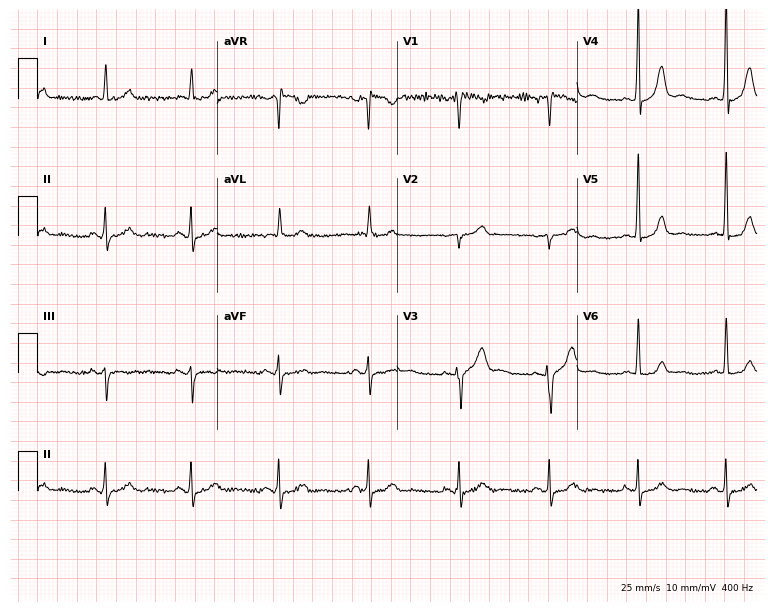
12-lead ECG from a male patient, 51 years old. Recorded interpretation: within normal limits.